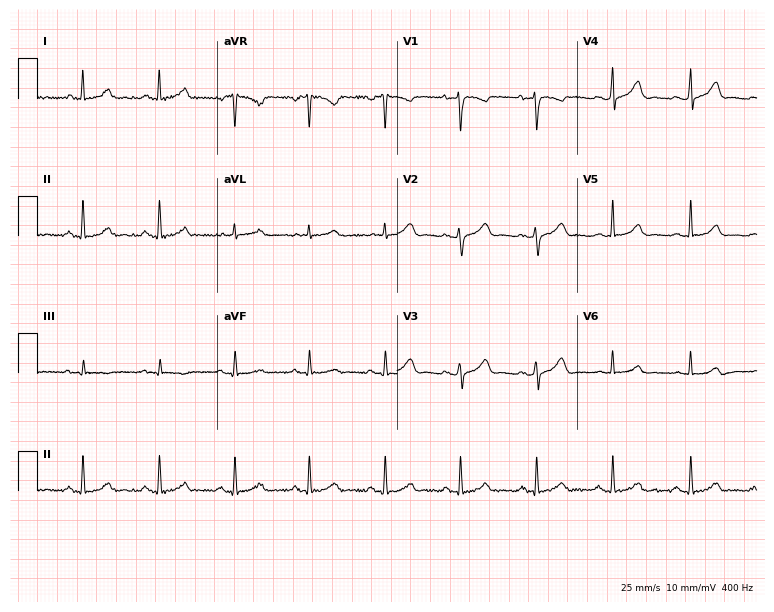
Electrocardiogram, a 39-year-old woman. Of the six screened findings (first-degree AV block, right bundle branch block, left bundle branch block, sinus bradycardia, atrial fibrillation, sinus tachycardia), none is recorded. Findings outside these six are not listed.